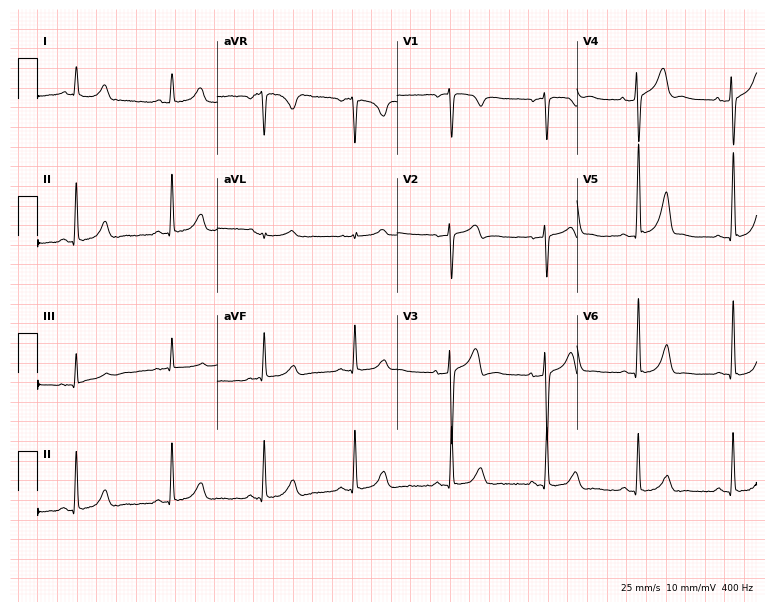
12-lead ECG (7.3-second recording at 400 Hz) from a female, 49 years old. Screened for six findings — first-degree AV block, right bundle branch block, left bundle branch block, sinus bradycardia, atrial fibrillation, sinus tachycardia — none is recorded.